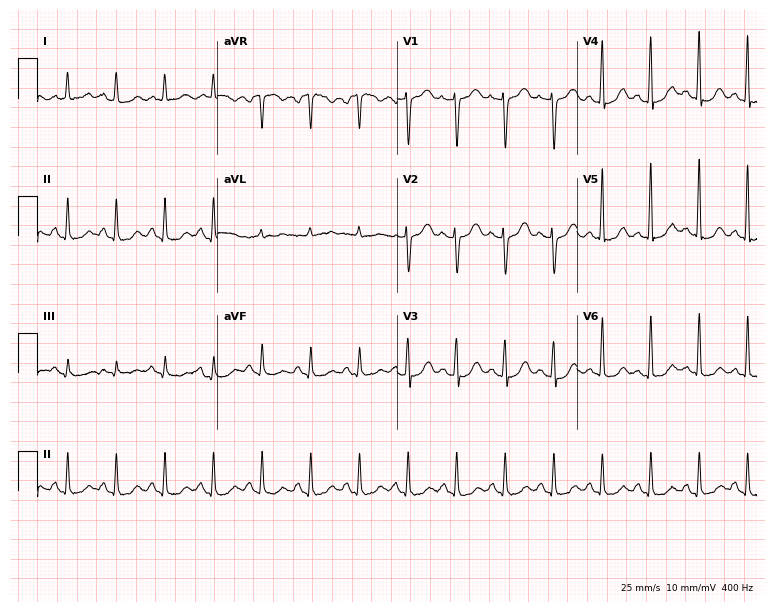
Standard 12-lead ECG recorded from a female, 54 years old. The tracing shows sinus tachycardia (a sinus rate of 100 beats per minute or more).